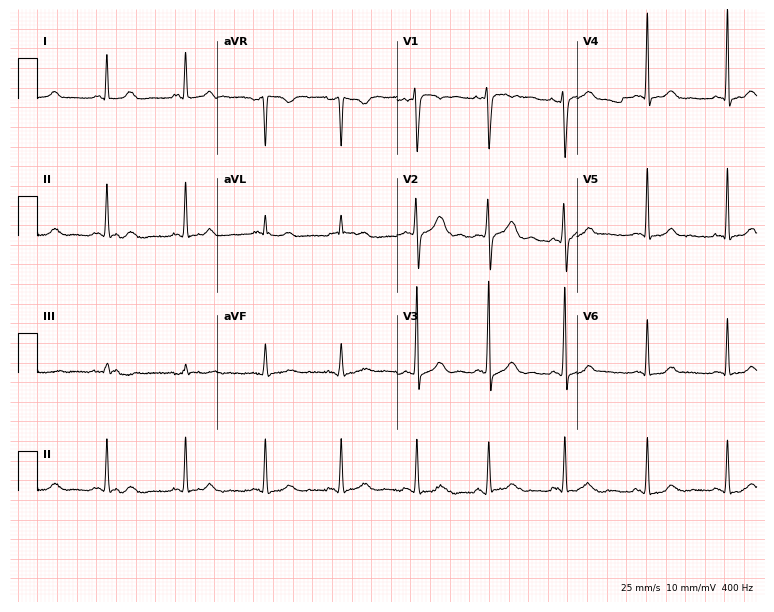
Resting 12-lead electrocardiogram (7.3-second recording at 400 Hz). Patient: a 26-year-old female. None of these six findings is recorded: first-degree AV block, right bundle branch block, left bundle branch block, sinus bradycardia, atrial fibrillation, sinus tachycardia.